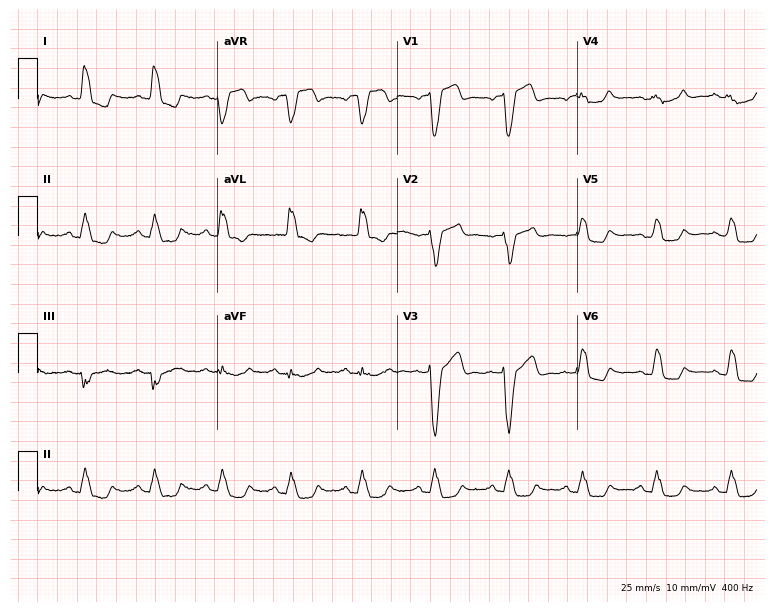
ECG (7.3-second recording at 400 Hz) — a male, 63 years old. Screened for six findings — first-degree AV block, right bundle branch block, left bundle branch block, sinus bradycardia, atrial fibrillation, sinus tachycardia — none is recorded.